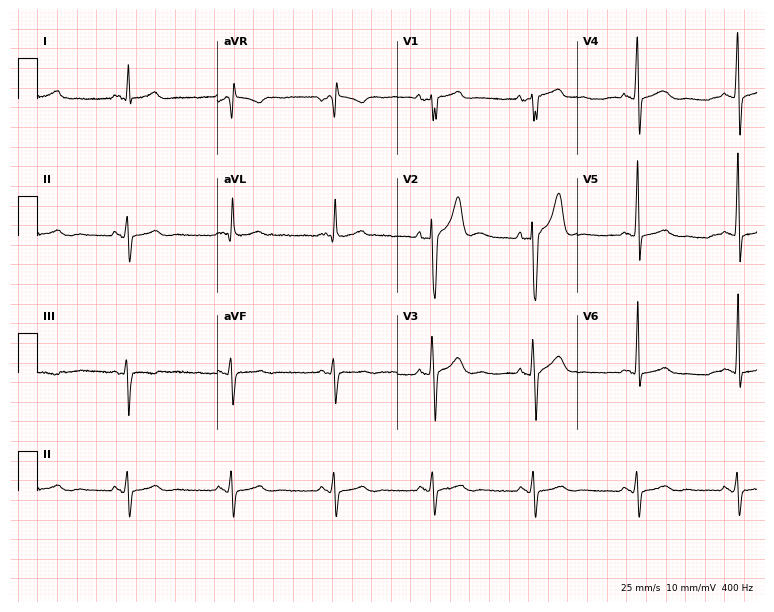
12-lead ECG (7.3-second recording at 400 Hz) from a 64-year-old man. Screened for six findings — first-degree AV block, right bundle branch block, left bundle branch block, sinus bradycardia, atrial fibrillation, sinus tachycardia — none is recorded.